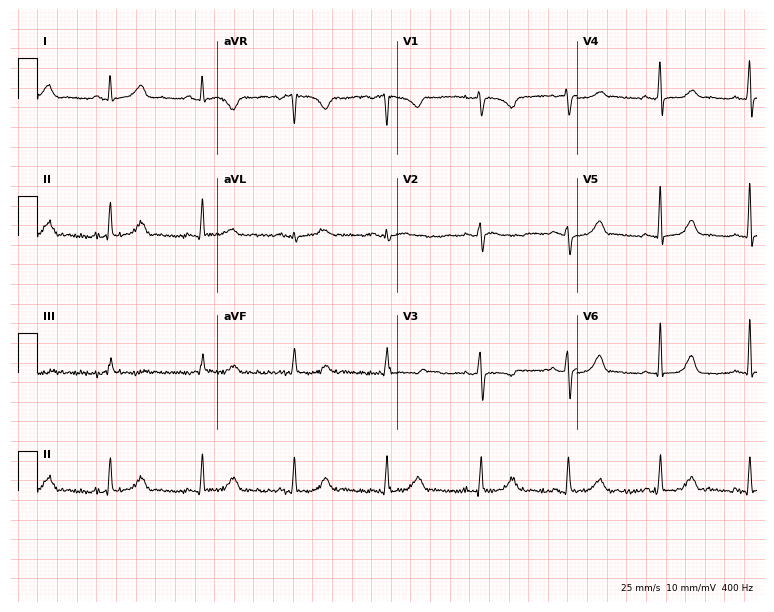
12-lead ECG from a woman, 44 years old (7.3-second recording at 400 Hz). No first-degree AV block, right bundle branch block, left bundle branch block, sinus bradycardia, atrial fibrillation or sinus tachycardia recorded for this tracing.